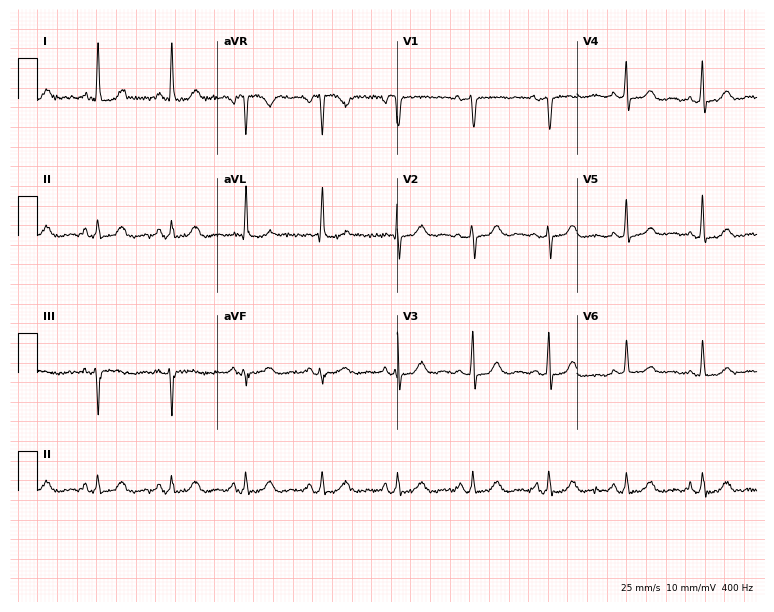
12-lead ECG from a 67-year-old female. Screened for six findings — first-degree AV block, right bundle branch block, left bundle branch block, sinus bradycardia, atrial fibrillation, sinus tachycardia — none is recorded. Findings outside these six are not listed.